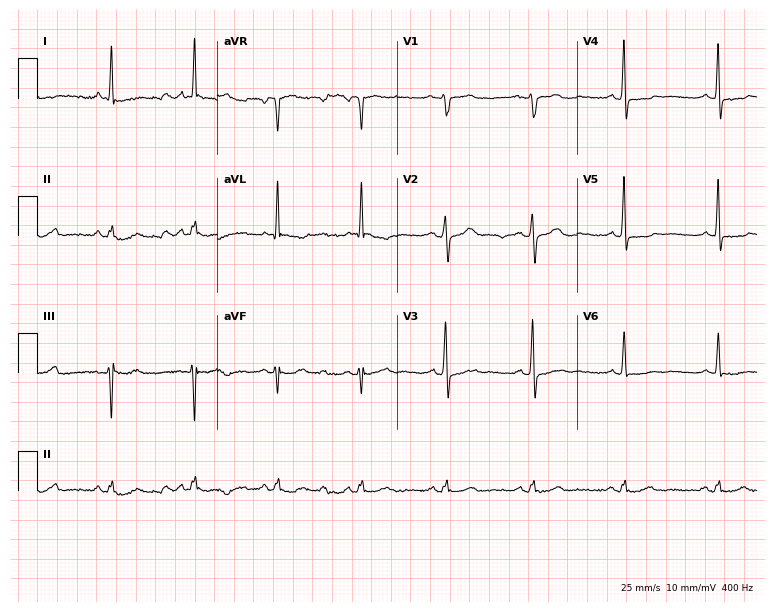
Standard 12-lead ECG recorded from a 68-year-old man. None of these six findings is recorded: first-degree AV block, right bundle branch block, left bundle branch block, sinus bradycardia, atrial fibrillation, sinus tachycardia.